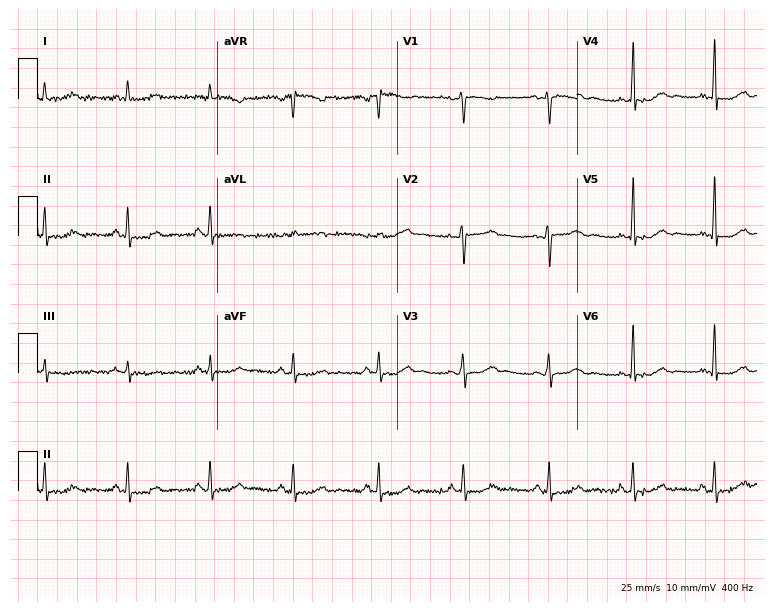
12-lead ECG (7.3-second recording at 400 Hz) from a female patient, 51 years old. Screened for six findings — first-degree AV block, right bundle branch block (RBBB), left bundle branch block (LBBB), sinus bradycardia, atrial fibrillation (AF), sinus tachycardia — none is recorded. Findings outside these six are not listed.